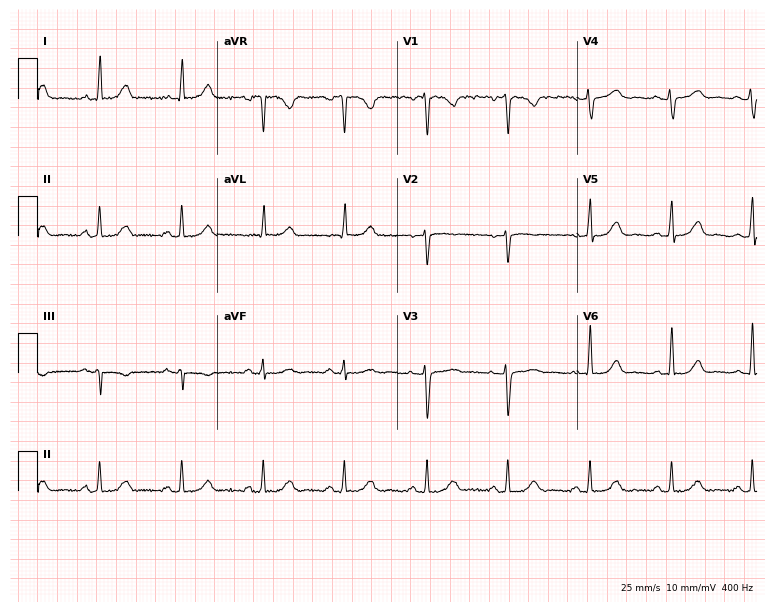
12-lead ECG (7.3-second recording at 400 Hz) from a 45-year-old female. Labelled as a normal ECG.